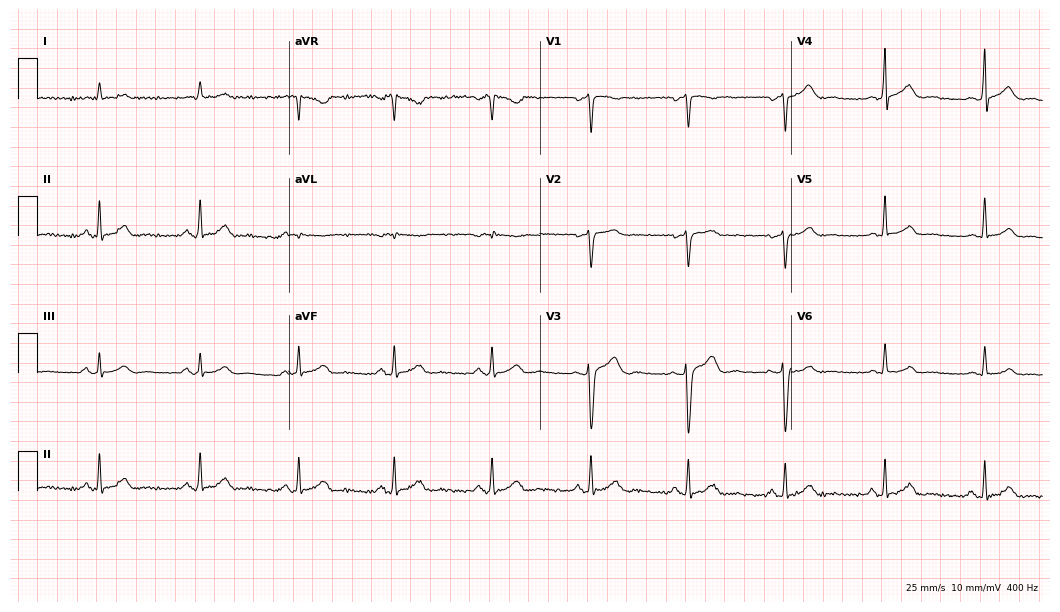
Electrocardiogram, a 65-year-old male. Of the six screened findings (first-degree AV block, right bundle branch block, left bundle branch block, sinus bradycardia, atrial fibrillation, sinus tachycardia), none is recorded. Only these six findings were labelled.